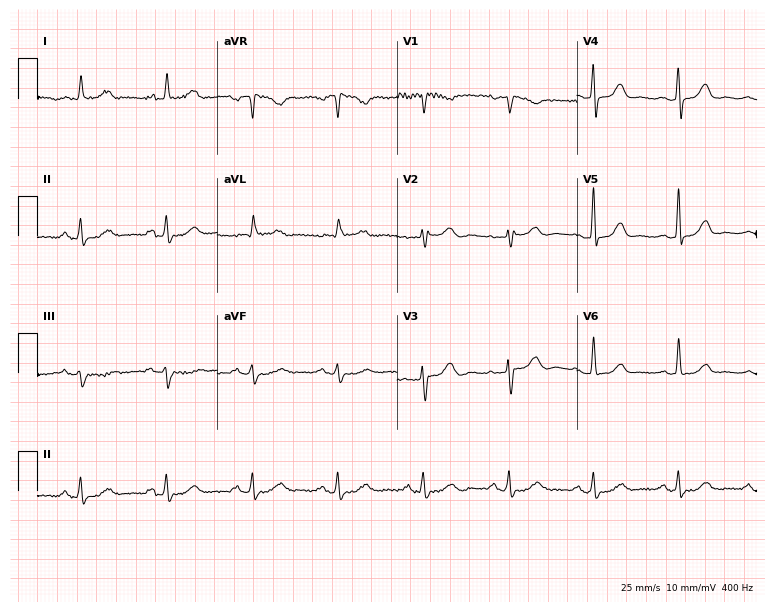
Standard 12-lead ECG recorded from a 64-year-old female. None of these six findings is recorded: first-degree AV block, right bundle branch block, left bundle branch block, sinus bradycardia, atrial fibrillation, sinus tachycardia.